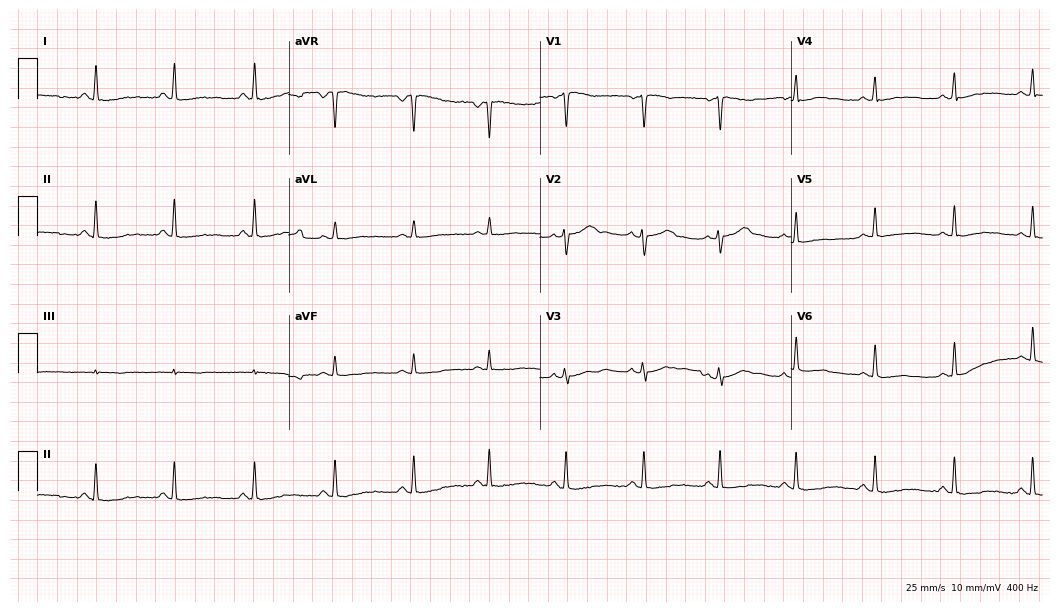
Resting 12-lead electrocardiogram (10.2-second recording at 400 Hz). Patient: a woman, 35 years old. Read as a normal ECG.